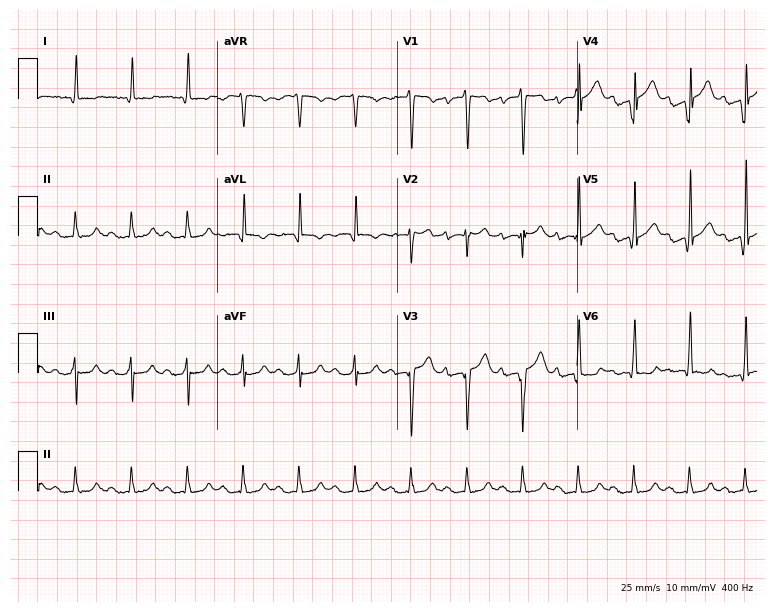
ECG — a male patient, 77 years old. Findings include first-degree AV block, sinus tachycardia (a sinus rate of 100 beats per minute or more).